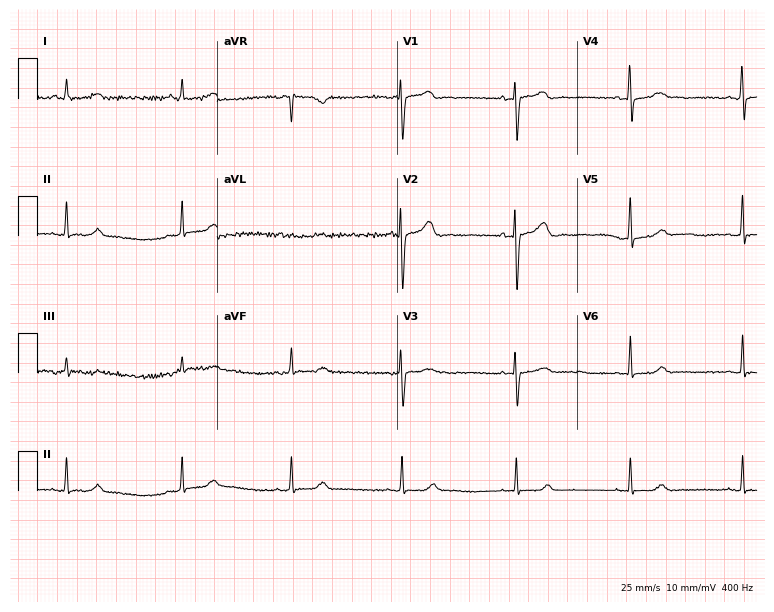
Resting 12-lead electrocardiogram (7.3-second recording at 400 Hz). Patient: a 41-year-old female. Read as a normal ECG.